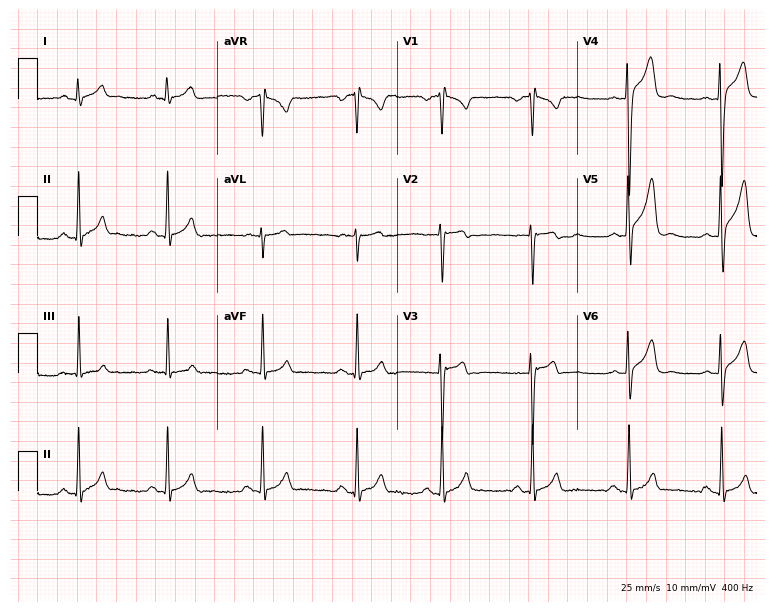
12-lead ECG from a 25-year-old male patient. Labelled as a normal ECG.